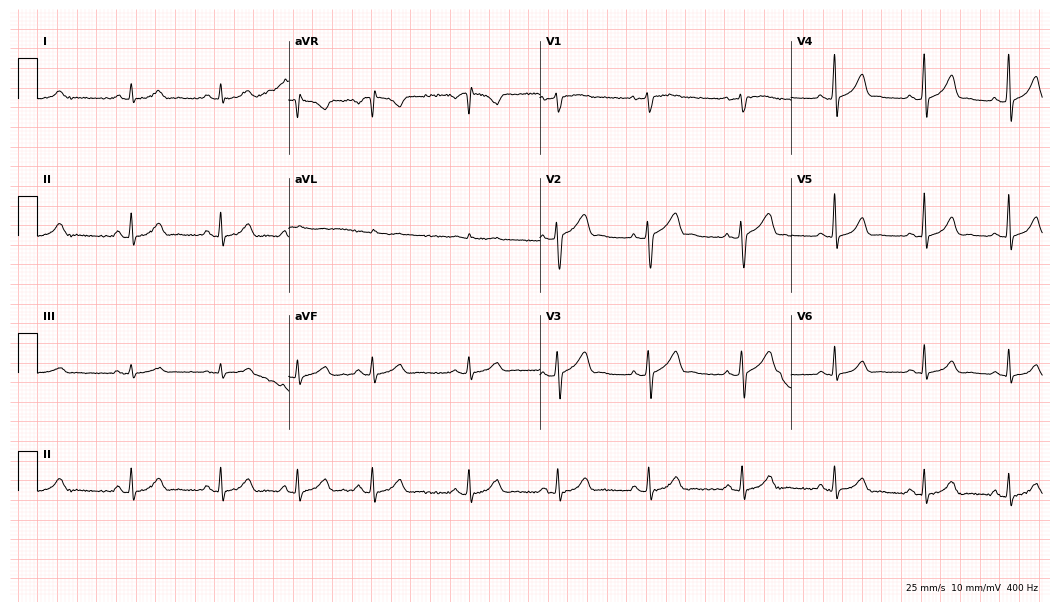
12-lead ECG from a 39-year-old female patient (10.2-second recording at 400 Hz). No first-degree AV block, right bundle branch block, left bundle branch block, sinus bradycardia, atrial fibrillation or sinus tachycardia recorded for this tracing.